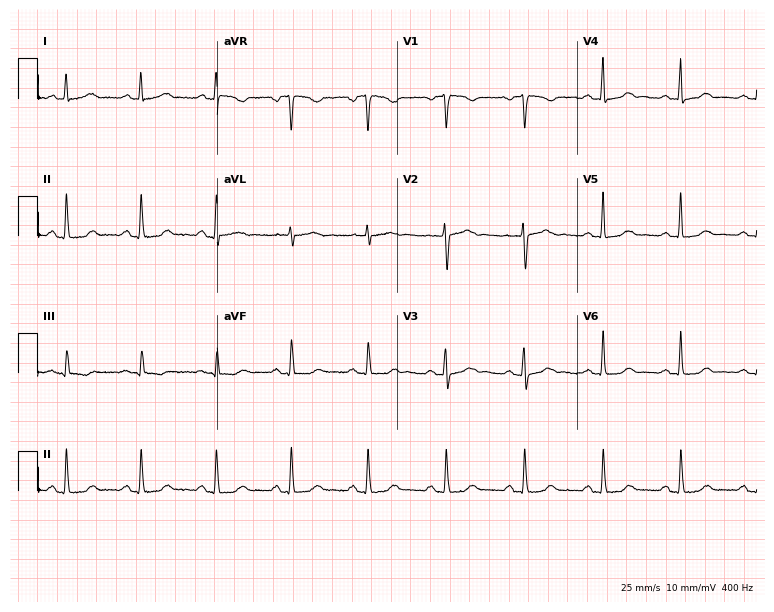
12-lead ECG from a woman, 64 years old. Recorded interpretation: within normal limits.